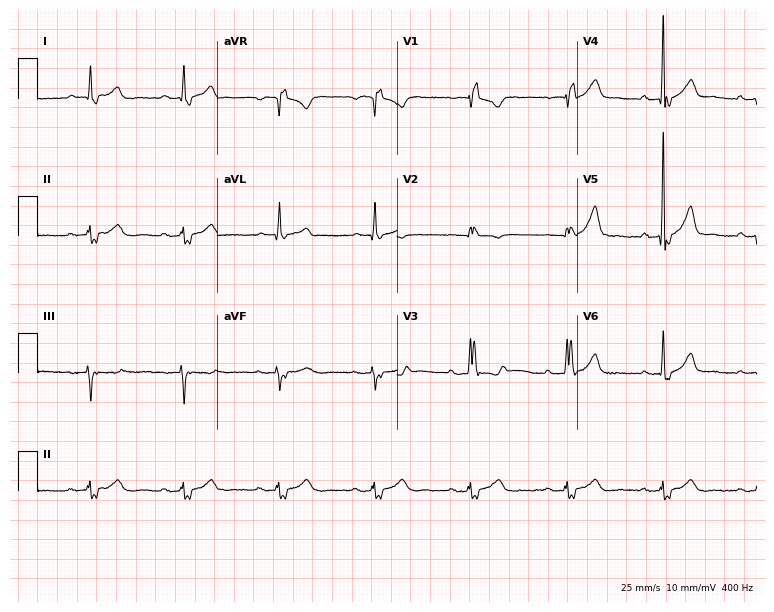
12-lead ECG from a male, 73 years old. Shows right bundle branch block.